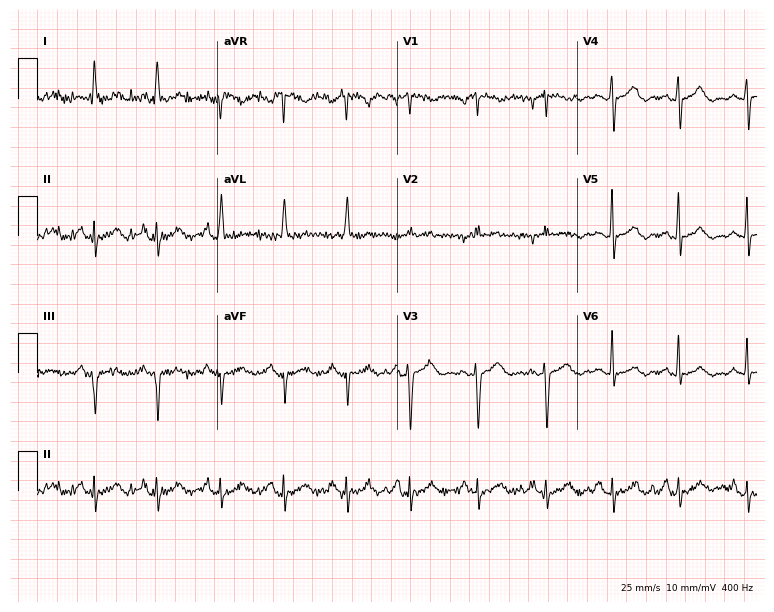
12-lead ECG from a female patient, 66 years old. Labelled as a normal ECG.